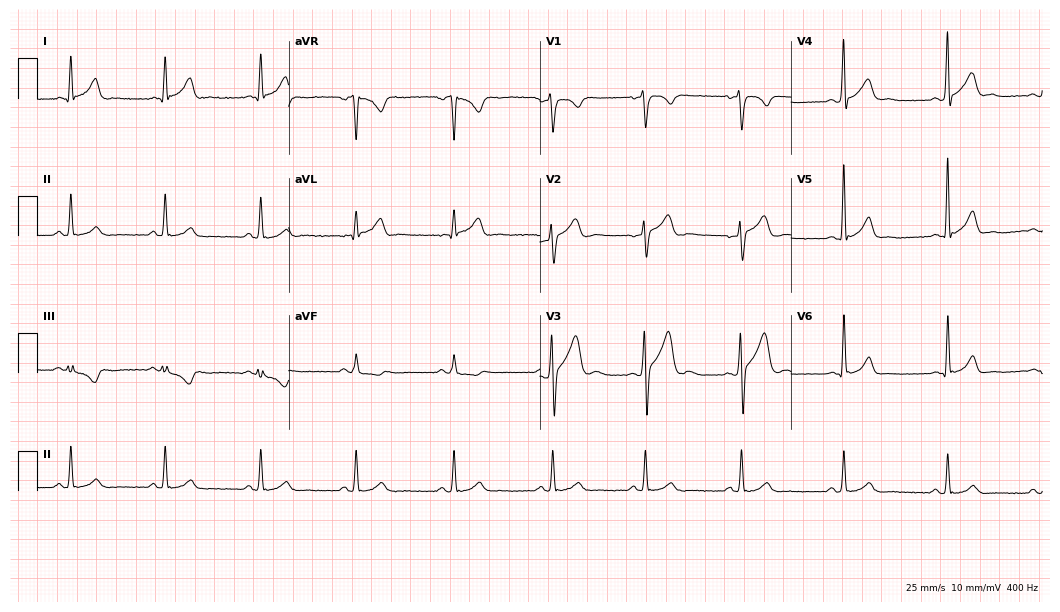
ECG — a 27-year-old male. Labelled as a normal ECG.